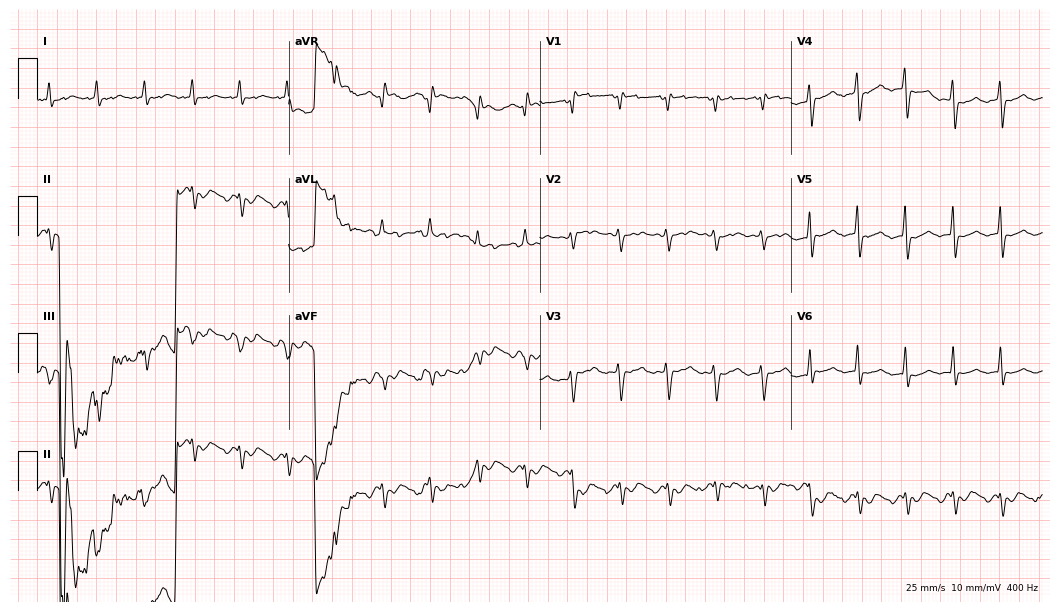
ECG (10.2-second recording at 400 Hz) — a male, 68 years old. Screened for six findings — first-degree AV block, right bundle branch block, left bundle branch block, sinus bradycardia, atrial fibrillation, sinus tachycardia — none is recorded.